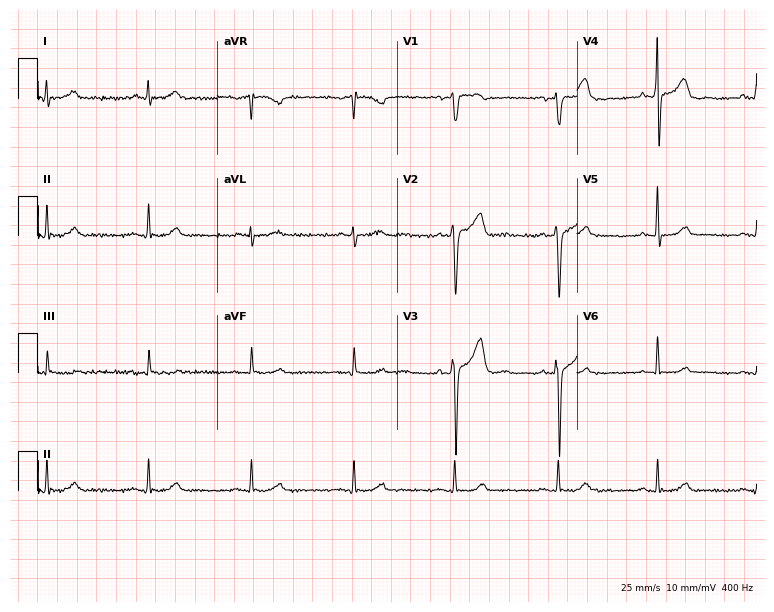
Resting 12-lead electrocardiogram (7.3-second recording at 400 Hz). Patient: a male, 50 years old. Read as a normal ECG.